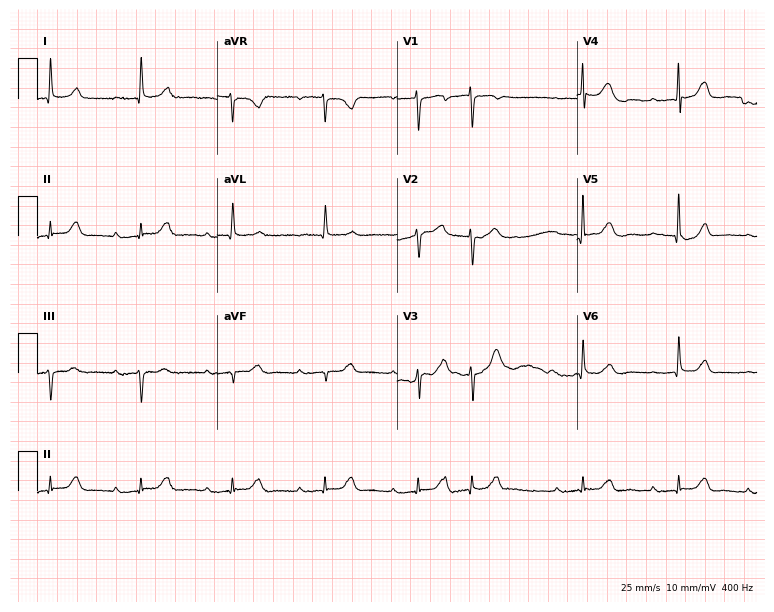
Standard 12-lead ECG recorded from a male patient, 77 years old (7.3-second recording at 400 Hz). The tracing shows first-degree AV block.